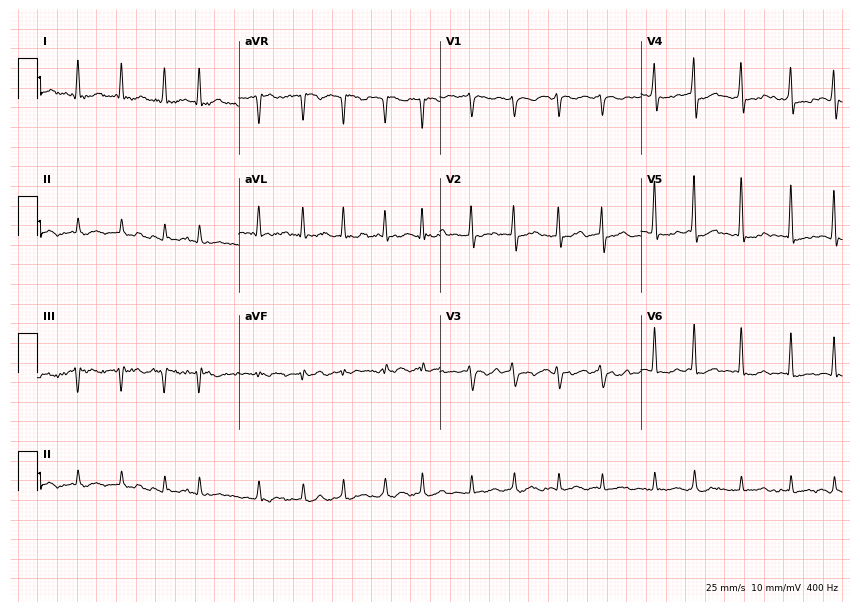
Electrocardiogram, a male patient, 68 years old. Interpretation includes atrial fibrillation.